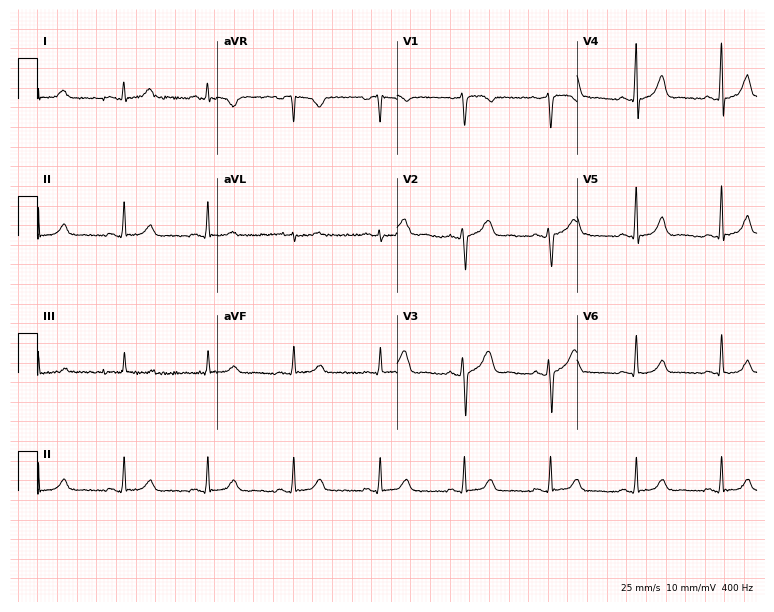
12-lead ECG from a 36-year-old female. Recorded interpretation: within normal limits.